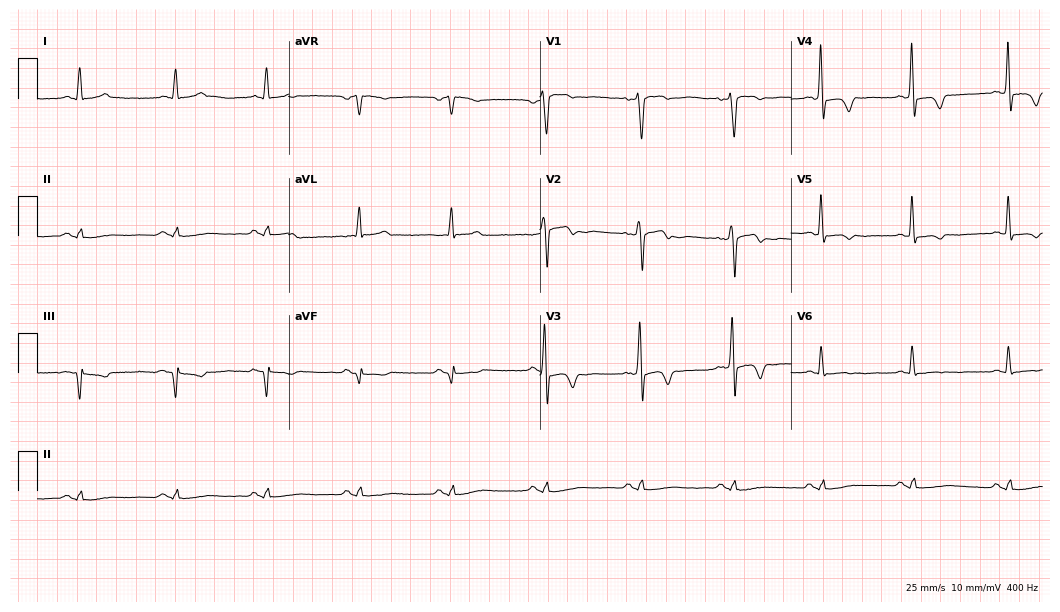
Electrocardiogram (10.2-second recording at 400 Hz), a man, 63 years old. Of the six screened findings (first-degree AV block, right bundle branch block, left bundle branch block, sinus bradycardia, atrial fibrillation, sinus tachycardia), none is recorded. Findings outside these six are not listed.